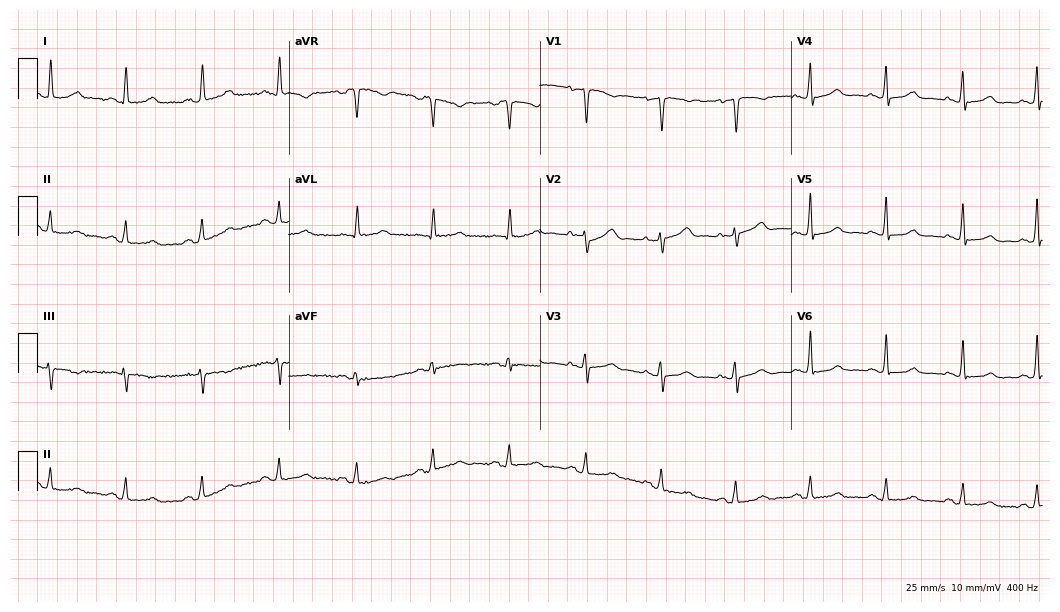
Resting 12-lead electrocardiogram (10.2-second recording at 400 Hz). Patient: a 62-year-old female. Read as a normal ECG.